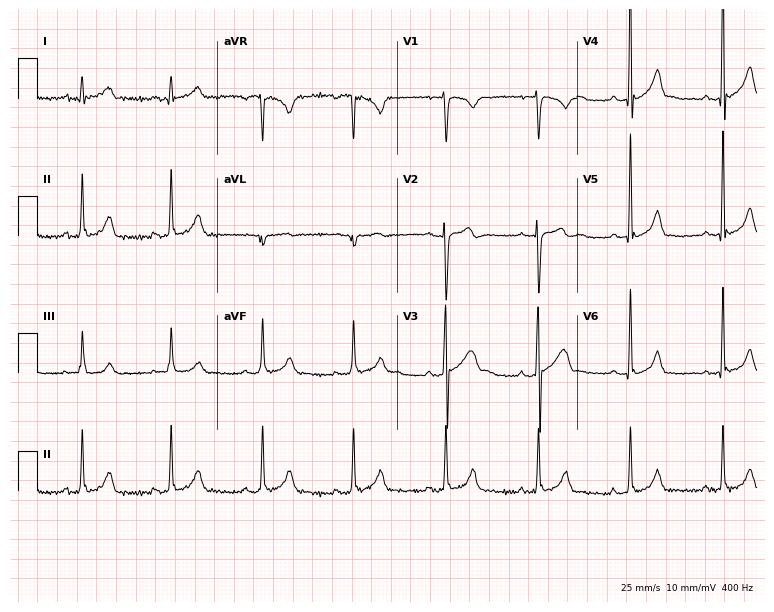
12-lead ECG from a man, 17 years old. Recorded interpretation: within normal limits.